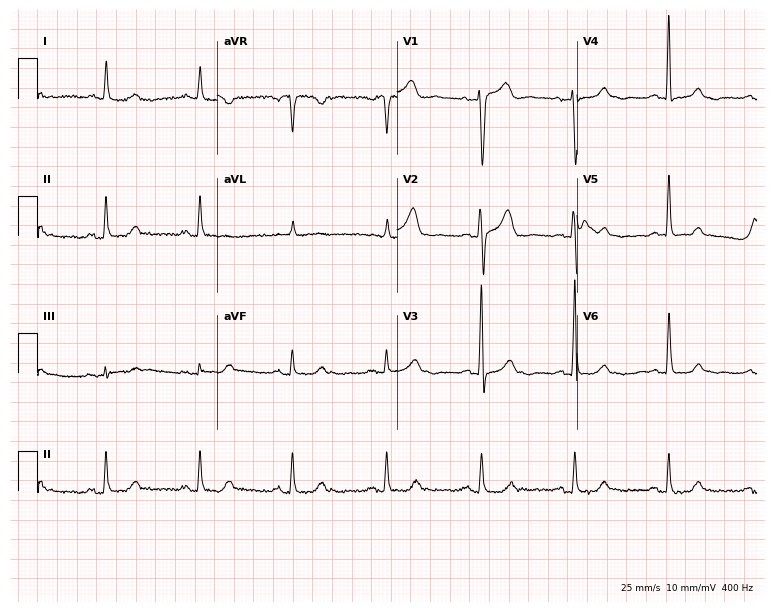
12-lead ECG (7.3-second recording at 400 Hz) from a 75-year-old woman. Screened for six findings — first-degree AV block, right bundle branch block, left bundle branch block, sinus bradycardia, atrial fibrillation, sinus tachycardia — none is recorded.